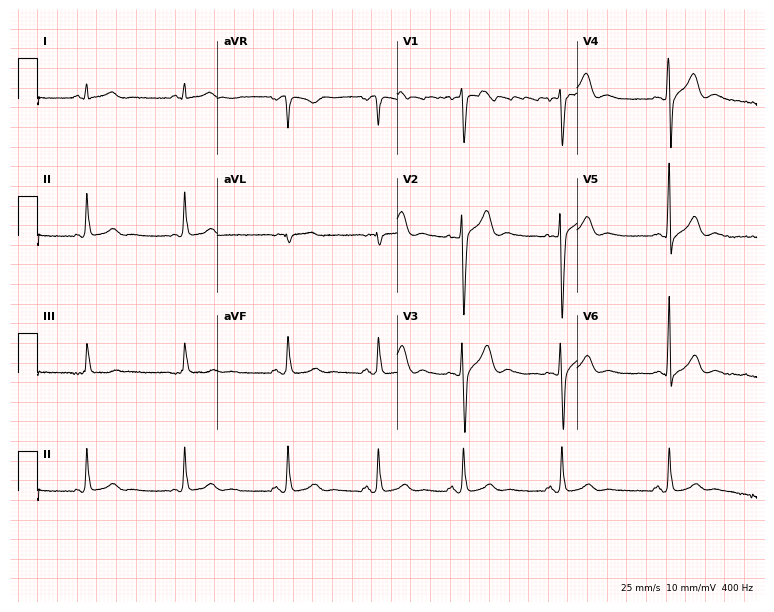
12-lead ECG (7.3-second recording at 400 Hz) from a man, 24 years old. Screened for six findings — first-degree AV block, right bundle branch block, left bundle branch block, sinus bradycardia, atrial fibrillation, sinus tachycardia — none is recorded.